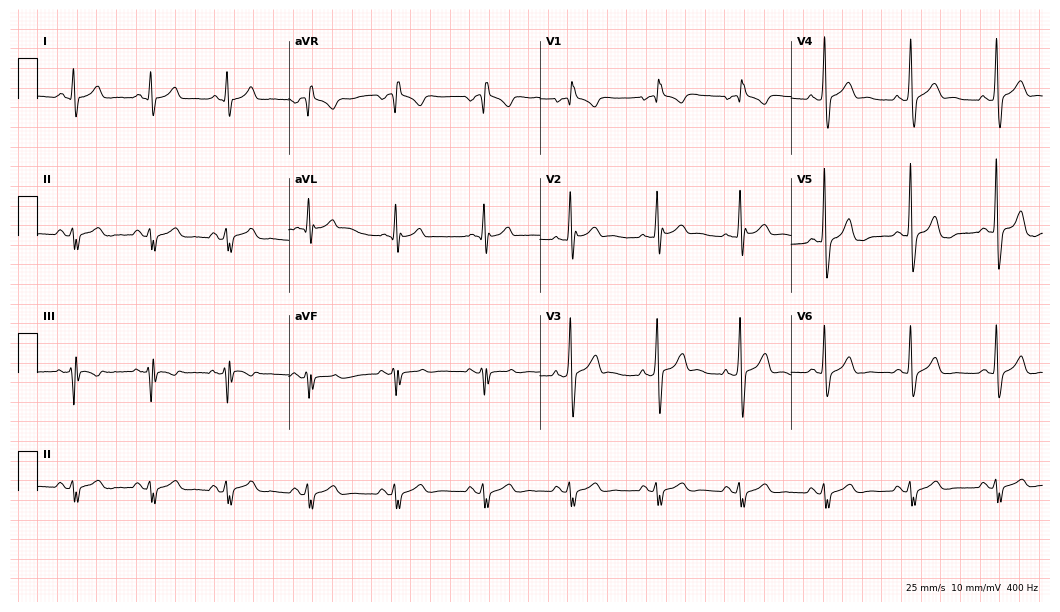
Standard 12-lead ECG recorded from a male patient, 40 years old. None of these six findings is recorded: first-degree AV block, right bundle branch block, left bundle branch block, sinus bradycardia, atrial fibrillation, sinus tachycardia.